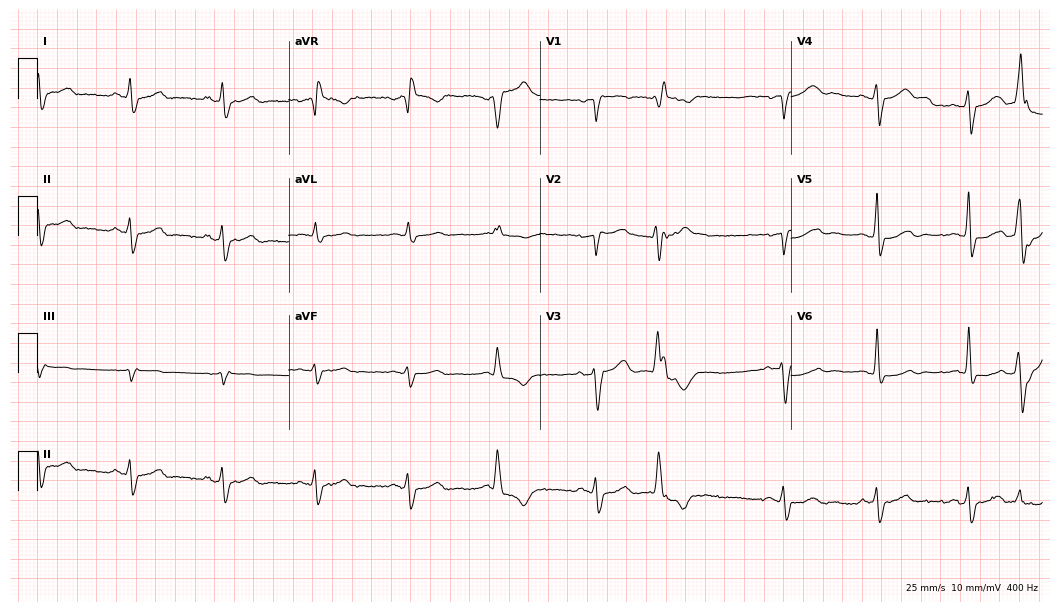
ECG (10.2-second recording at 400 Hz) — an 84-year-old man. Screened for six findings — first-degree AV block, right bundle branch block, left bundle branch block, sinus bradycardia, atrial fibrillation, sinus tachycardia — none is recorded. Other findings, if any, are not listed.